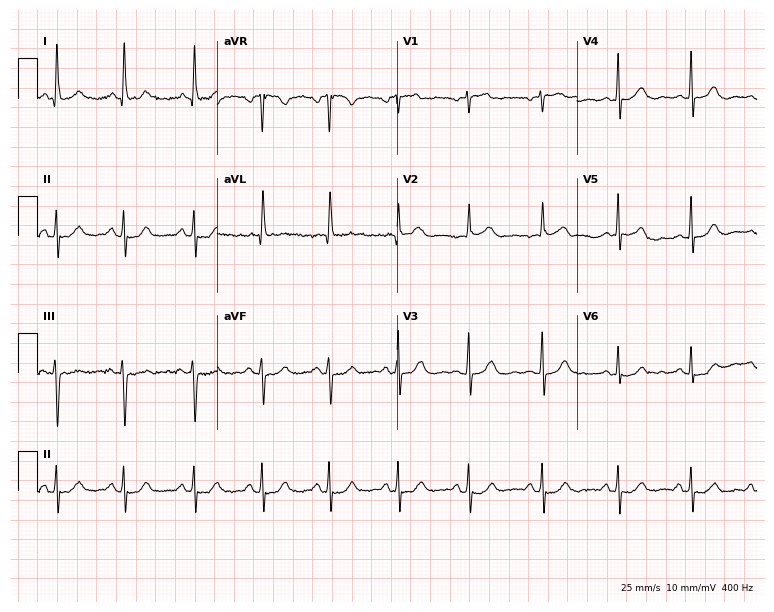
Resting 12-lead electrocardiogram (7.3-second recording at 400 Hz). Patient: a 60-year-old woman. None of these six findings is recorded: first-degree AV block, right bundle branch block, left bundle branch block, sinus bradycardia, atrial fibrillation, sinus tachycardia.